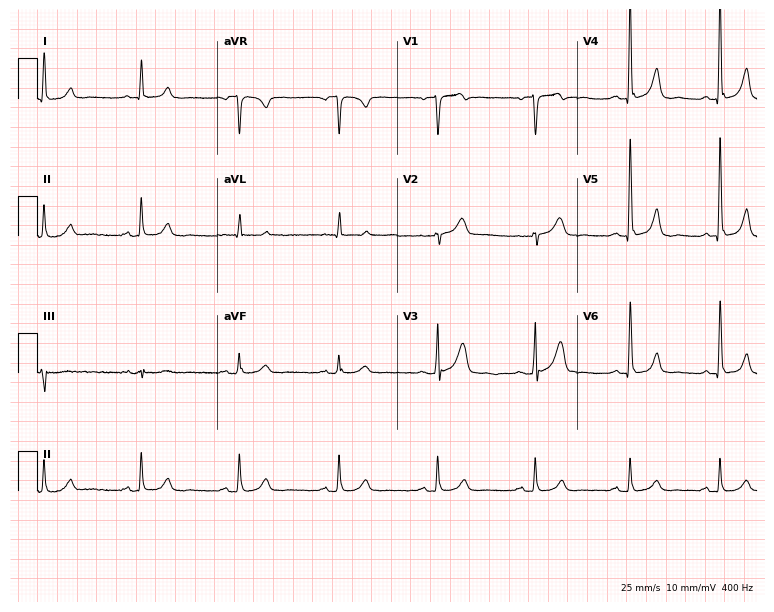
ECG — a male, 78 years old. Labelled as a normal ECG.